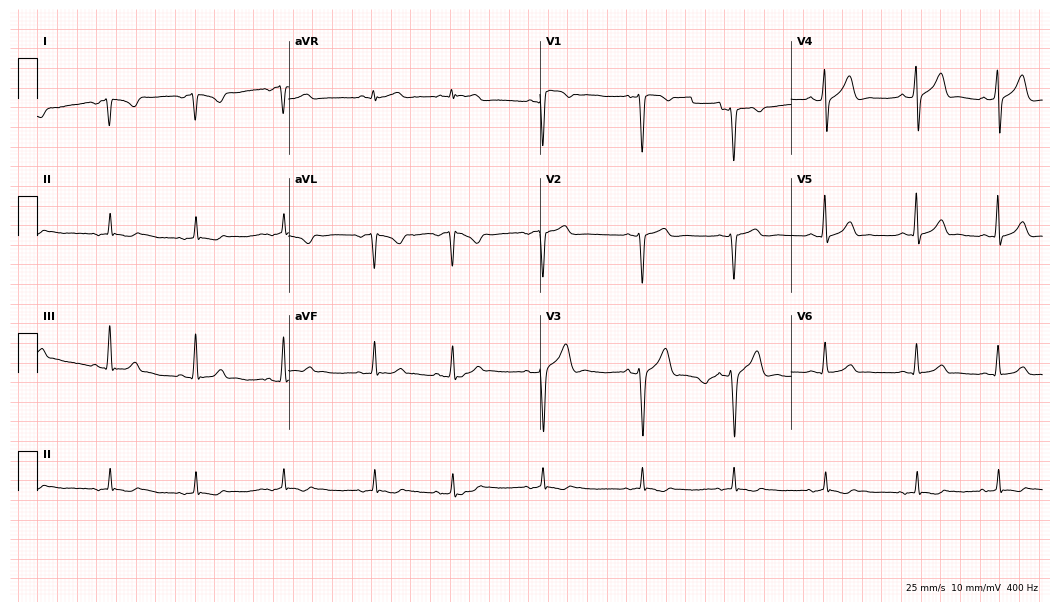
ECG — a male patient, 18 years old. Screened for six findings — first-degree AV block, right bundle branch block, left bundle branch block, sinus bradycardia, atrial fibrillation, sinus tachycardia — none is recorded. Findings outside these six are not listed.